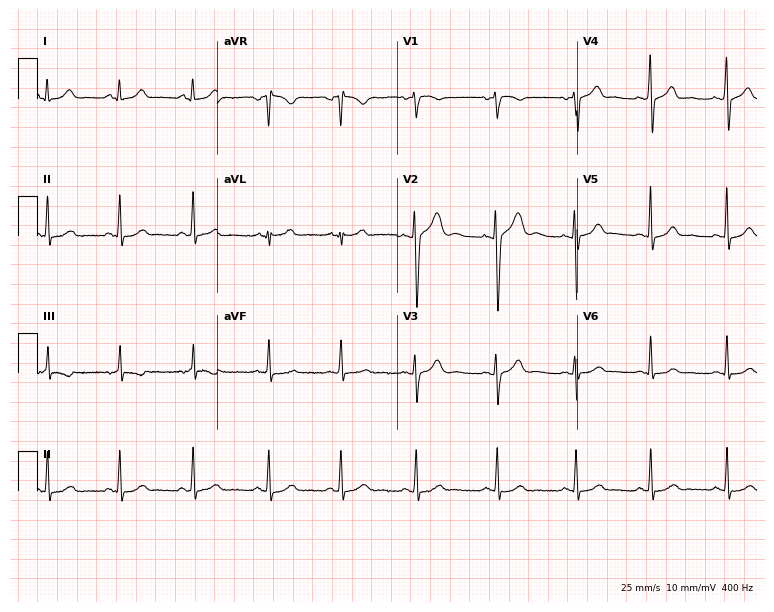
Electrocardiogram (7.3-second recording at 400 Hz), a woman, 17 years old. Overall reading on record: normal ECG.